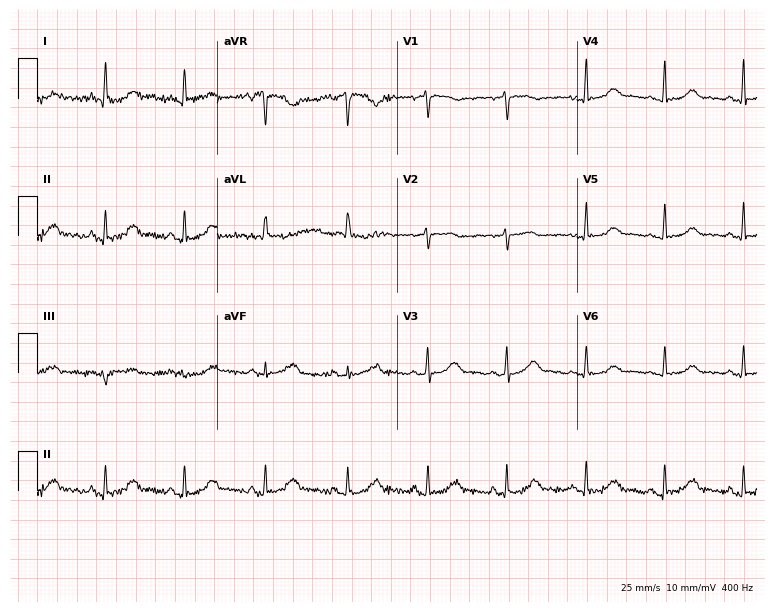
Resting 12-lead electrocardiogram. Patient: a 64-year-old woman. Read as a normal ECG.